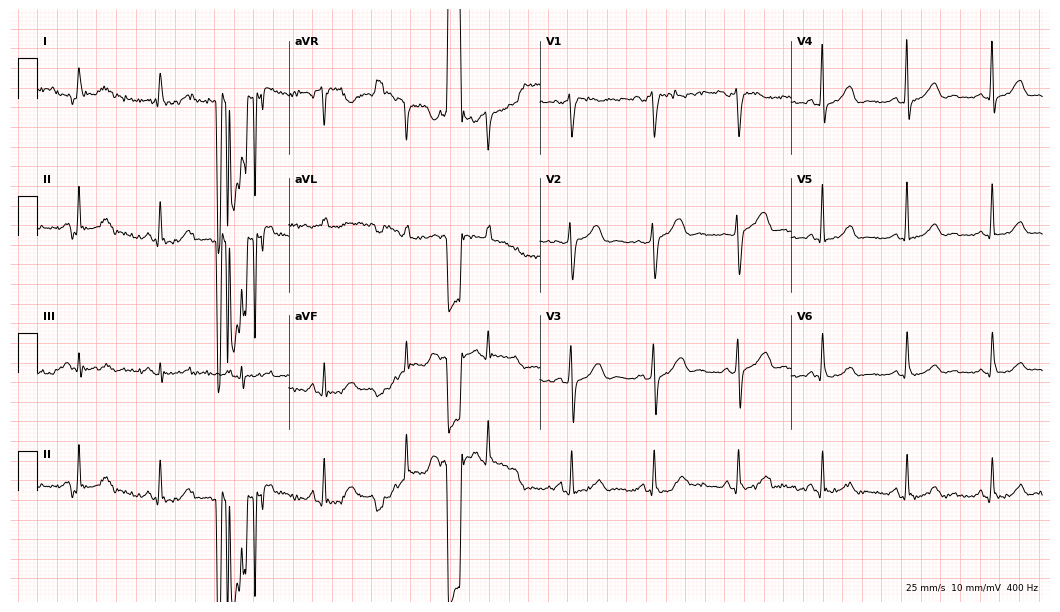
Resting 12-lead electrocardiogram (10.2-second recording at 400 Hz). Patient: a female, 67 years old. Read as a normal ECG.